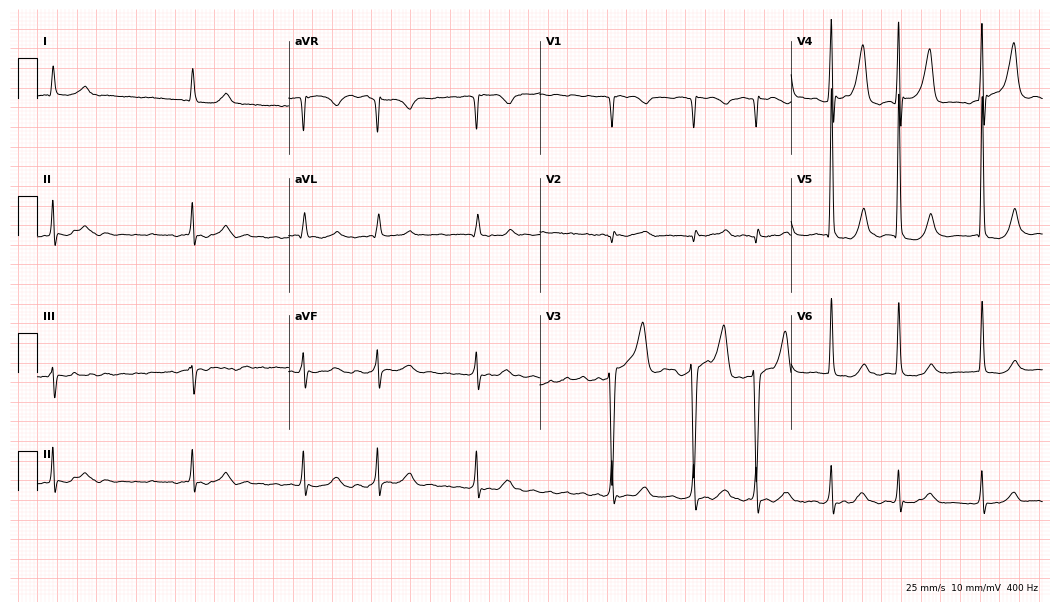
Electrocardiogram (10.2-second recording at 400 Hz), a 78-year-old male. Interpretation includes atrial fibrillation.